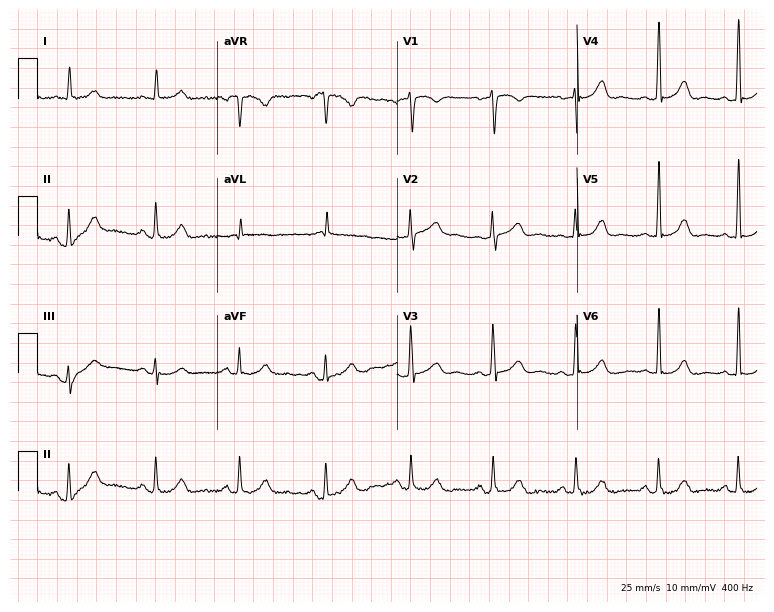
12-lead ECG from a 51-year-old female. Recorded interpretation: within normal limits.